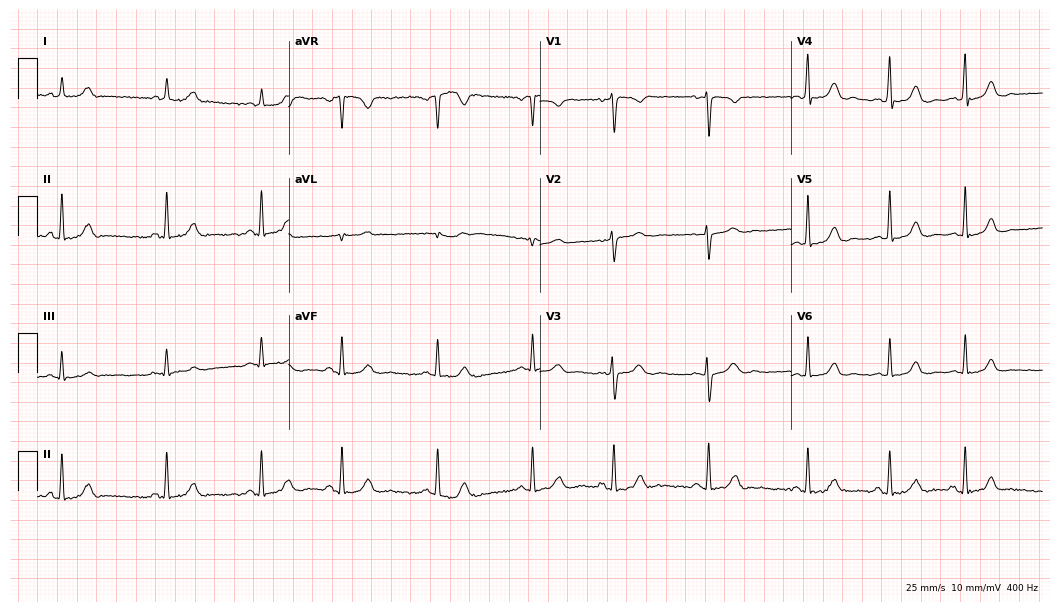
12-lead ECG from a female, 37 years old (10.2-second recording at 400 Hz). No first-degree AV block, right bundle branch block, left bundle branch block, sinus bradycardia, atrial fibrillation or sinus tachycardia recorded for this tracing. Only these six findings were labelled.